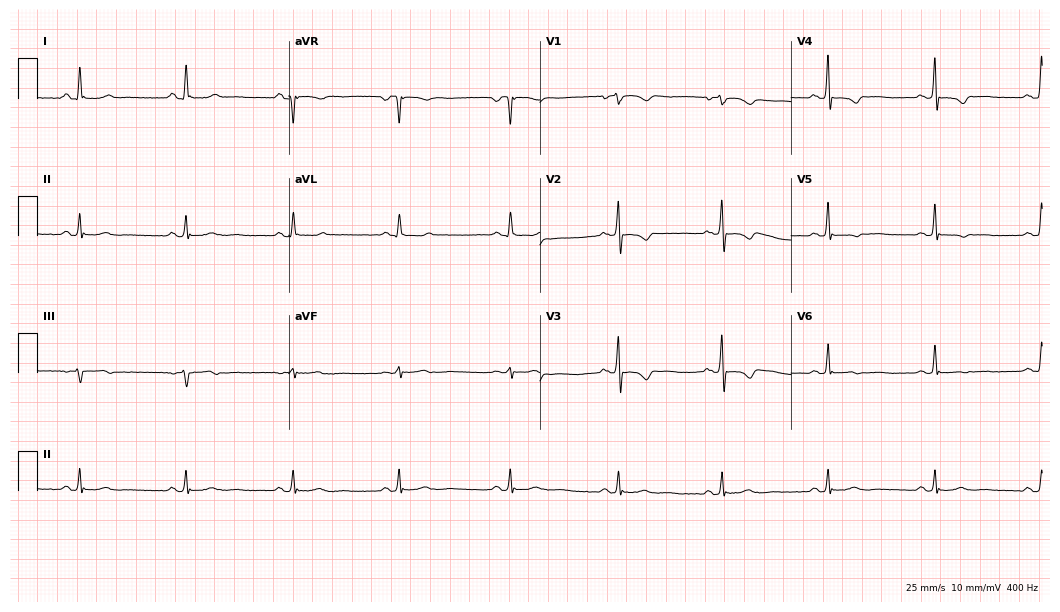
Standard 12-lead ECG recorded from a female patient, 59 years old (10.2-second recording at 400 Hz). None of these six findings is recorded: first-degree AV block, right bundle branch block (RBBB), left bundle branch block (LBBB), sinus bradycardia, atrial fibrillation (AF), sinus tachycardia.